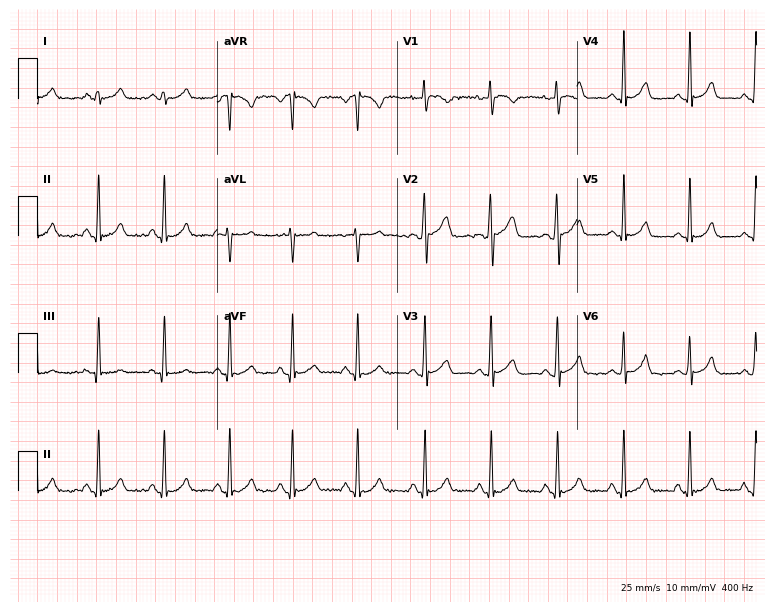
Resting 12-lead electrocardiogram (7.3-second recording at 400 Hz). Patient: a female, 20 years old. Read as a normal ECG.